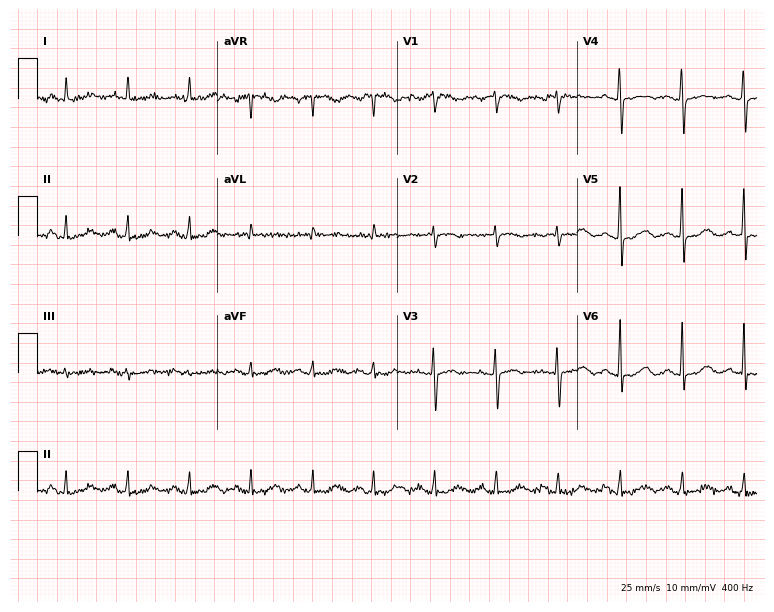
Electrocardiogram, a 60-year-old woman. Of the six screened findings (first-degree AV block, right bundle branch block, left bundle branch block, sinus bradycardia, atrial fibrillation, sinus tachycardia), none is recorded. Findings outside these six are not listed.